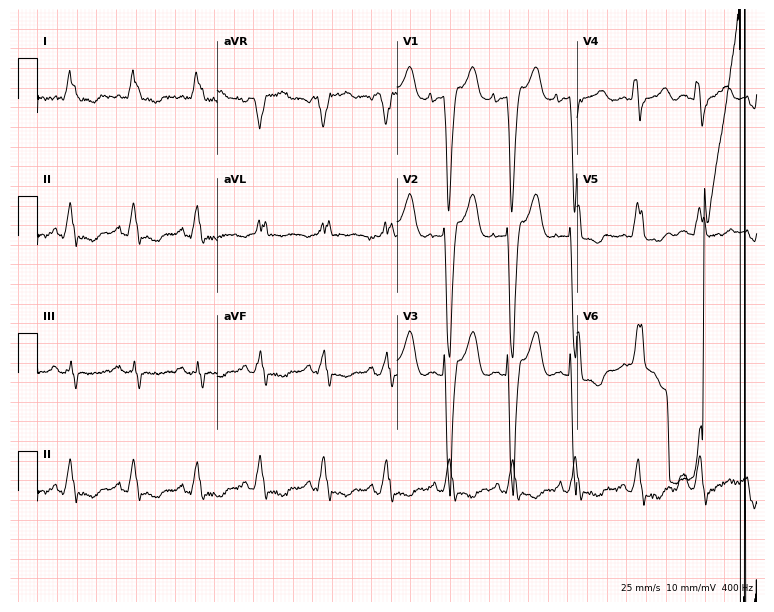
ECG — an 85-year-old female. Findings include left bundle branch block (LBBB).